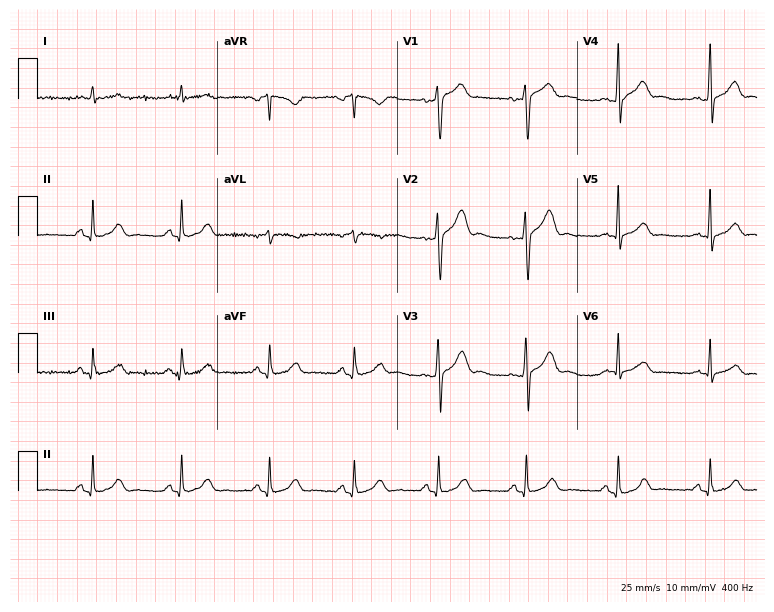
Standard 12-lead ECG recorded from a male patient, 44 years old (7.3-second recording at 400 Hz). None of these six findings is recorded: first-degree AV block, right bundle branch block (RBBB), left bundle branch block (LBBB), sinus bradycardia, atrial fibrillation (AF), sinus tachycardia.